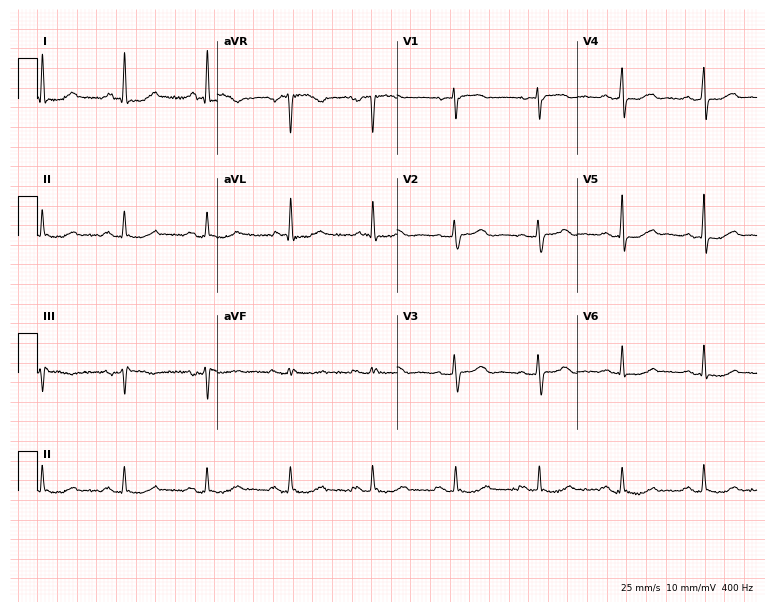
12-lead ECG from a 64-year-old woman. No first-degree AV block, right bundle branch block, left bundle branch block, sinus bradycardia, atrial fibrillation or sinus tachycardia recorded for this tracing. Only these six findings were labelled.